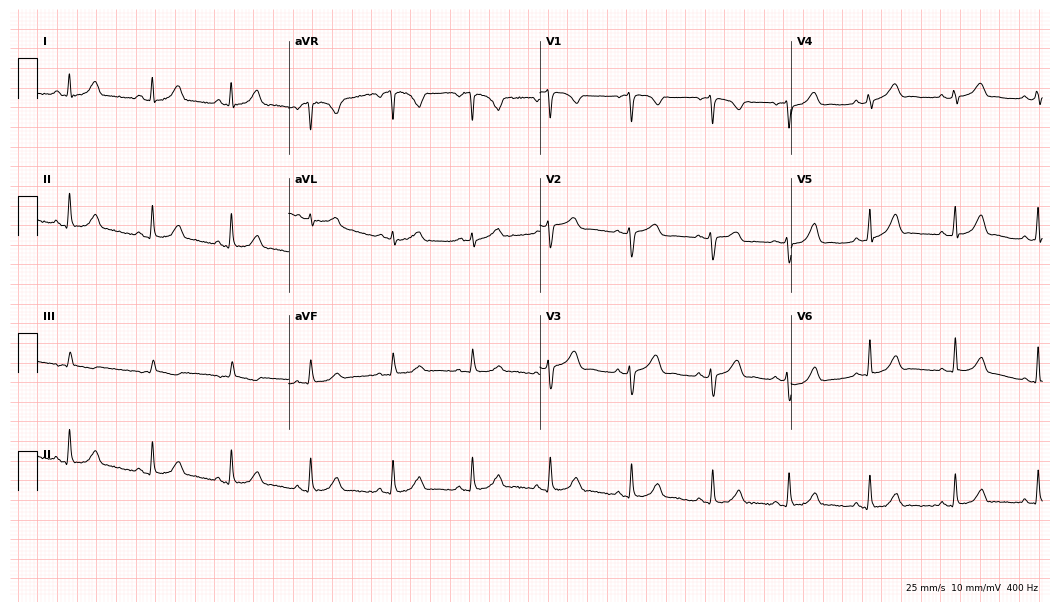
12-lead ECG from a 40-year-old female. Labelled as a normal ECG.